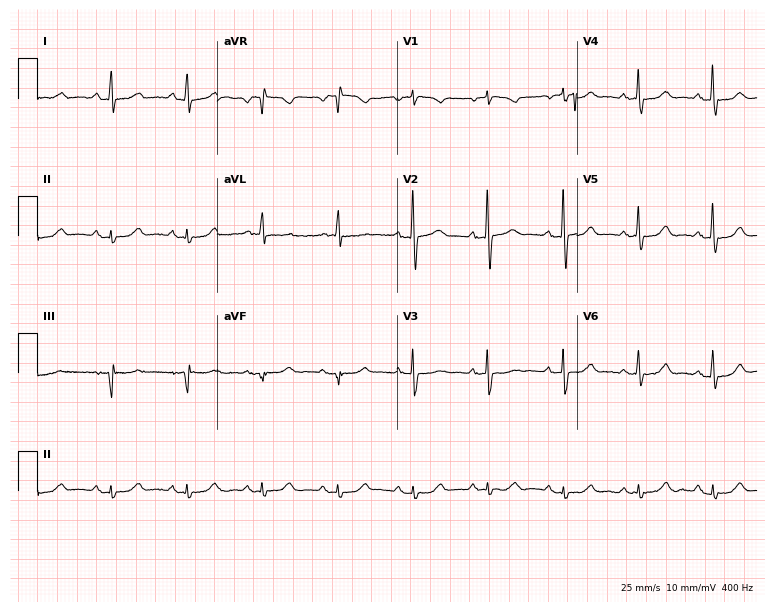
12-lead ECG from a 67-year-old female patient. Labelled as a normal ECG.